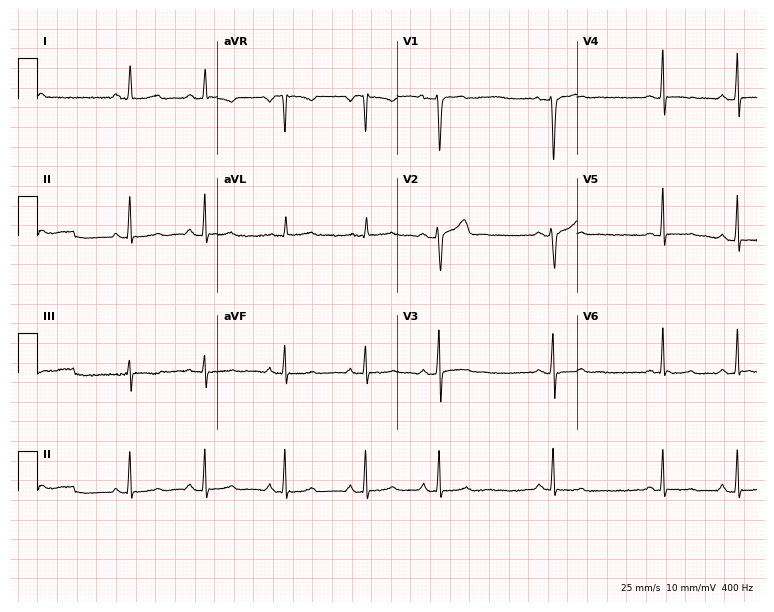
12-lead ECG from a woman, 32 years old (7.3-second recording at 400 Hz). No first-degree AV block, right bundle branch block, left bundle branch block, sinus bradycardia, atrial fibrillation or sinus tachycardia recorded for this tracing.